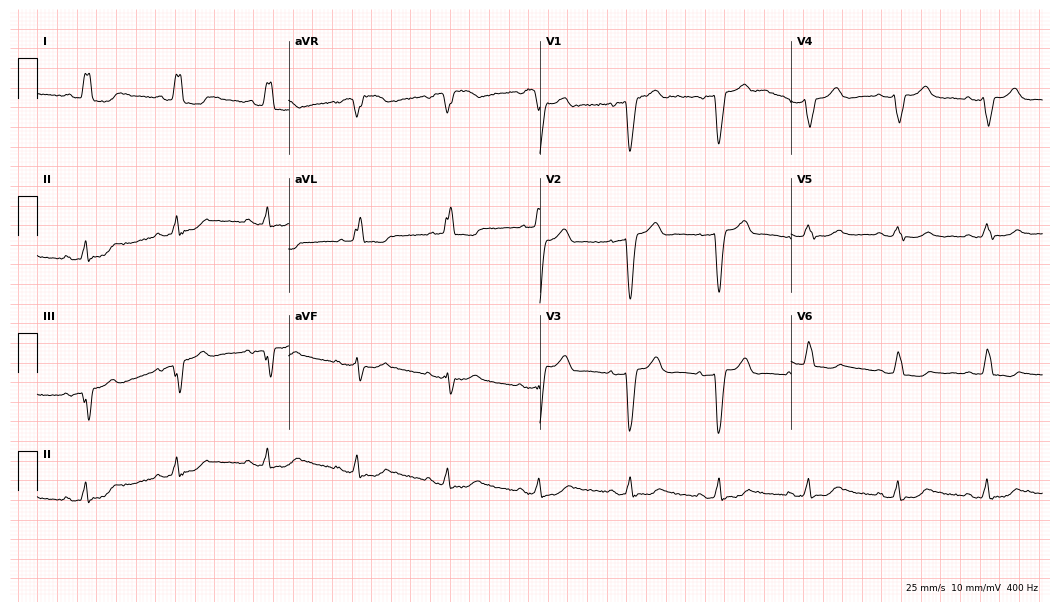
12-lead ECG from a 59-year-old female patient (10.2-second recording at 400 Hz). Shows left bundle branch block.